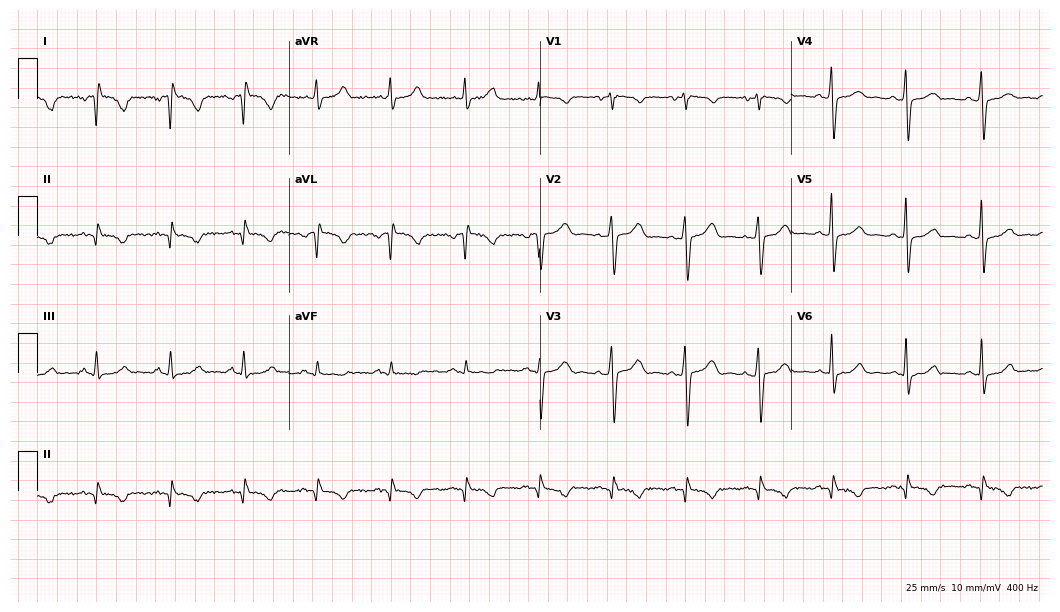
Resting 12-lead electrocardiogram (10.2-second recording at 400 Hz). Patient: a female, 48 years old. None of these six findings is recorded: first-degree AV block, right bundle branch block, left bundle branch block, sinus bradycardia, atrial fibrillation, sinus tachycardia.